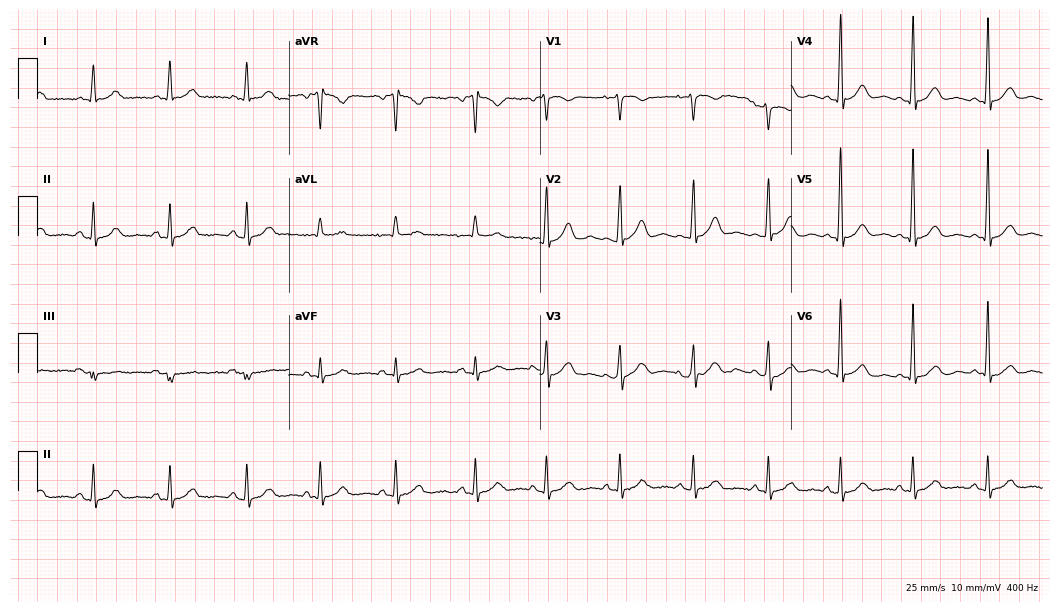
Resting 12-lead electrocardiogram (10.2-second recording at 400 Hz). Patient: a 52-year-old female. Read as a normal ECG.